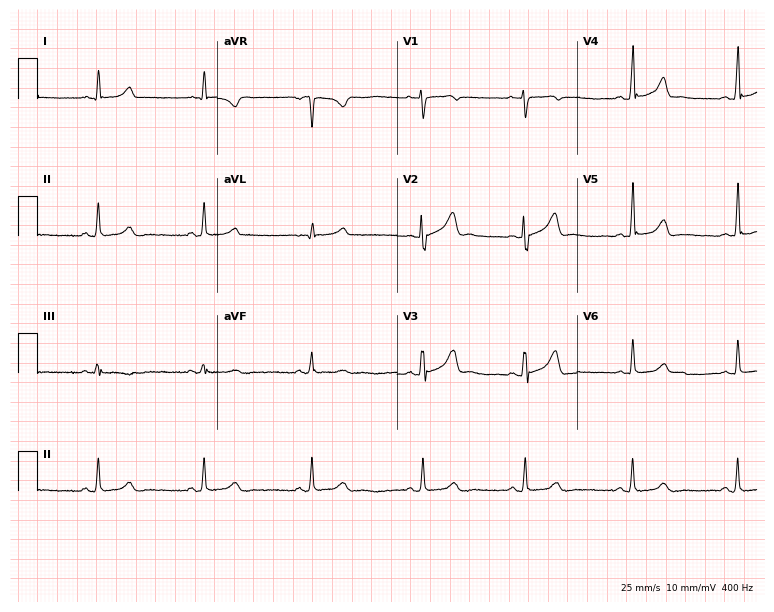
Electrocardiogram (7.3-second recording at 400 Hz), a 25-year-old woman. Of the six screened findings (first-degree AV block, right bundle branch block, left bundle branch block, sinus bradycardia, atrial fibrillation, sinus tachycardia), none is recorded. Other findings, if any, are not listed.